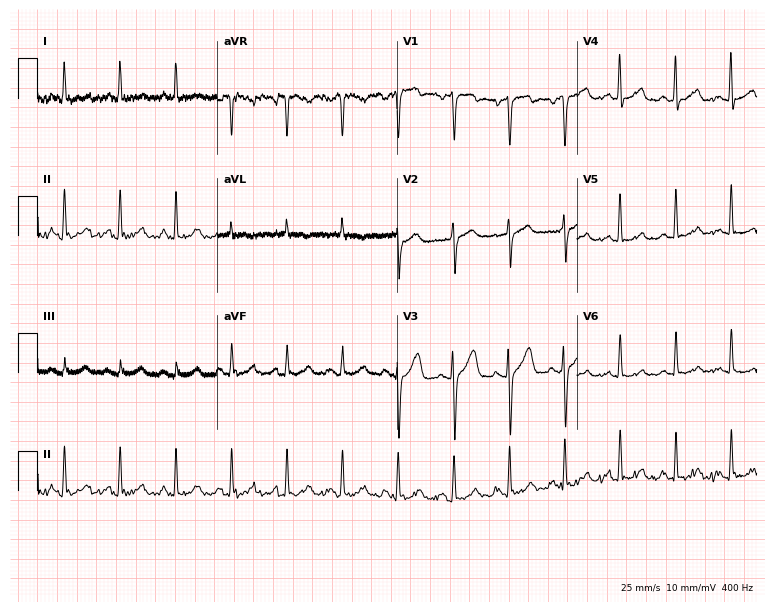
ECG — a 56-year-old man. Findings include sinus tachycardia (a sinus rate of 100 beats per minute or more).